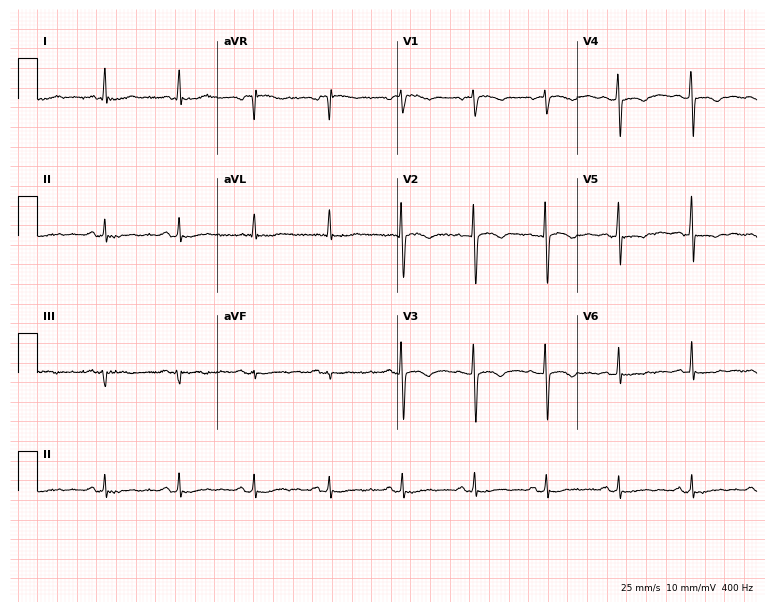
12-lead ECG from a female patient, 51 years old. Screened for six findings — first-degree AV block, right bundle branch block, left bundle branch block, sinus bradycardia, atrial fibrillation, sinus tachycardia — none is recorded. Only these six findings were labelled.